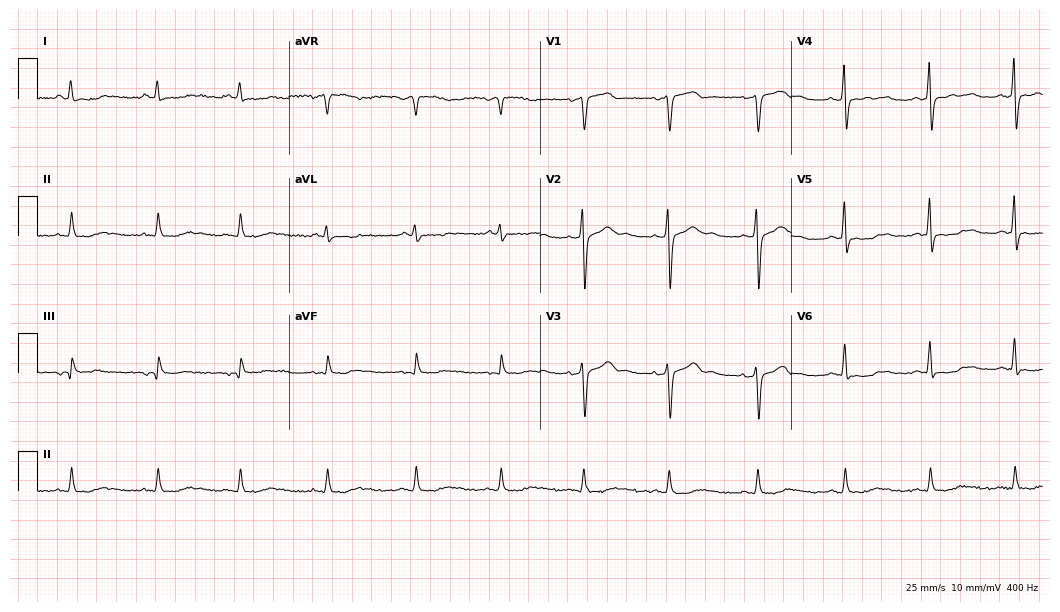
12-lead ECG from a man, 42 years old. Screened for six findings — first-degree AV block, right bundle branch block, left bundle branch block, sinus bradycardia, atrial fibrillation, sinus tachycardia — none is recorded. Findings outside these six are not listed.